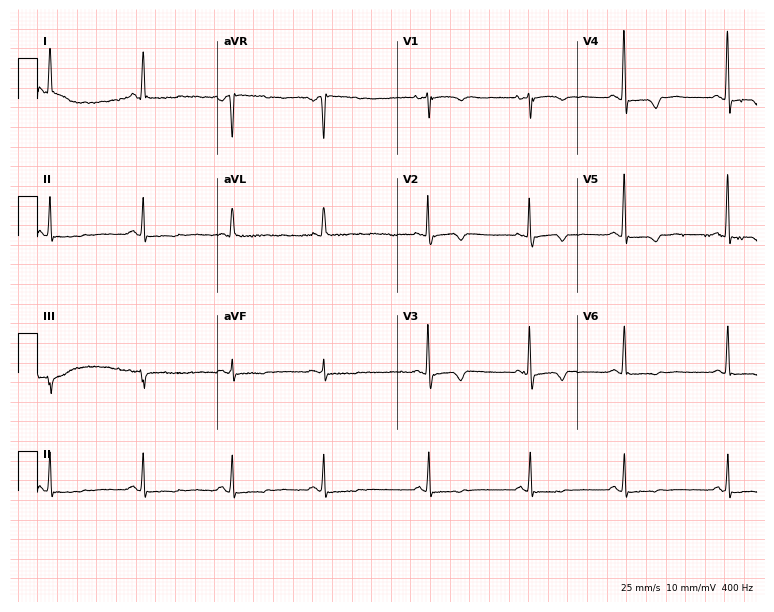
Resting 12-lead electrocardiogram (7.3-second recording at 400 Hz). Patient: a female, 66 years old. None of these six findings is recorded: first-degree AV block, right bundle branch block, left bundle branch block, sinus bradycardia, atrial fibrillation, sinus tachycardia. Other findings, if any, are not listed.